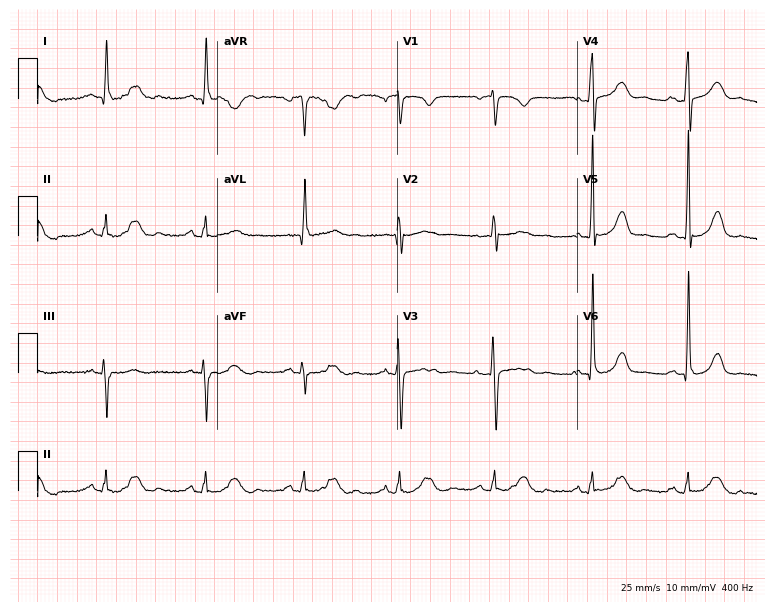
12-lead ECG from a 68-year-old female patient. Screened for six findings — first-degree AV block, right bundle branch block (RBBB), left bundle branch block (LBBB), sinus bradycardia, atrial fibrillation (AF), sinus tachycardia — none is recorded. Findings outside these six are not listed.